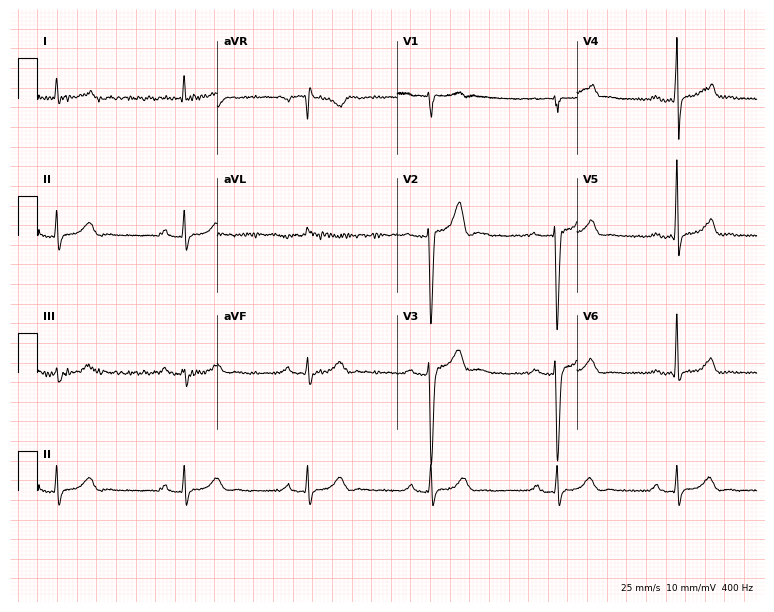
Electrocardiogram, a 27-year-old male patient. Interpretation includes first-degree AV block, sinus bradycardia (a sinus rate of 50 beats per minute or less).